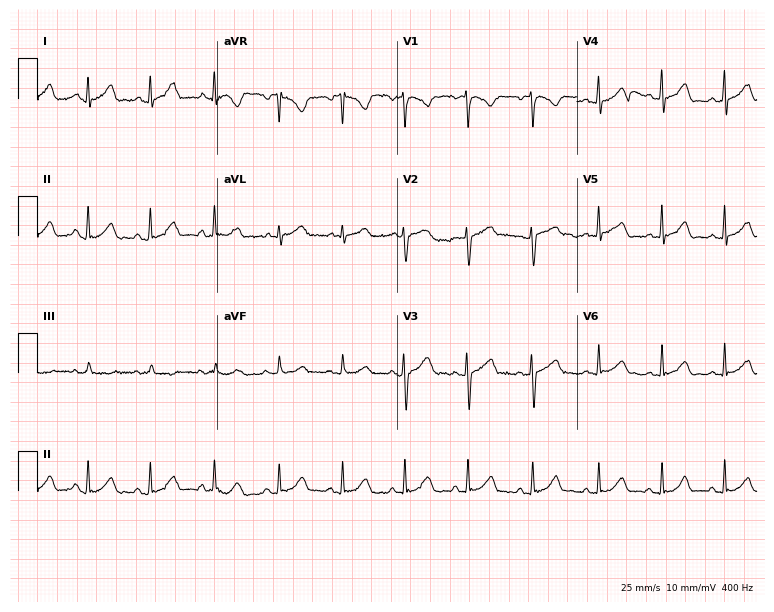
Electrocardiogram (7.3-second recording at 400 Hz), a female patient, 26 years old. Overall reading on record: normal ECG.